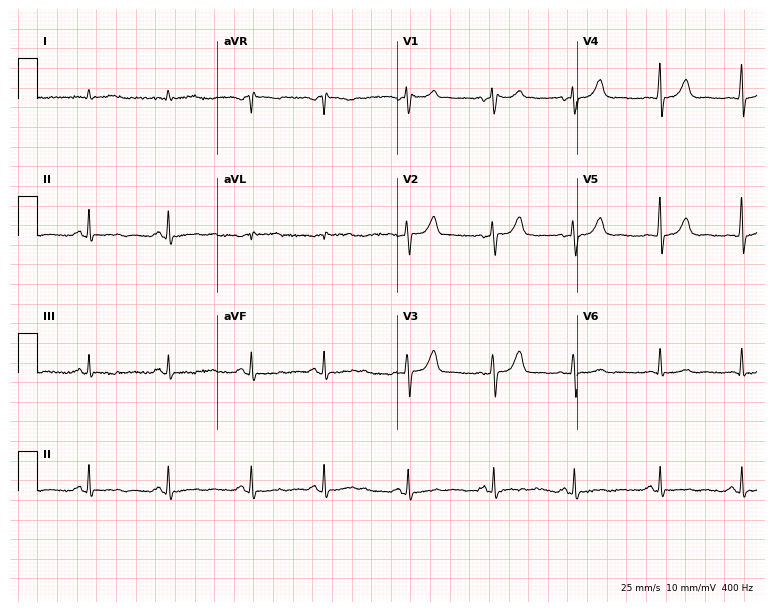
Resting 12-lead electrocardiogram. Patient: a male, 72 years old. None of these six findings is recorded: first-degree AV block, right bundle branch block, left bundle branch block, sinus bradycardia, atrial fibrillation, sinus tachycardia.